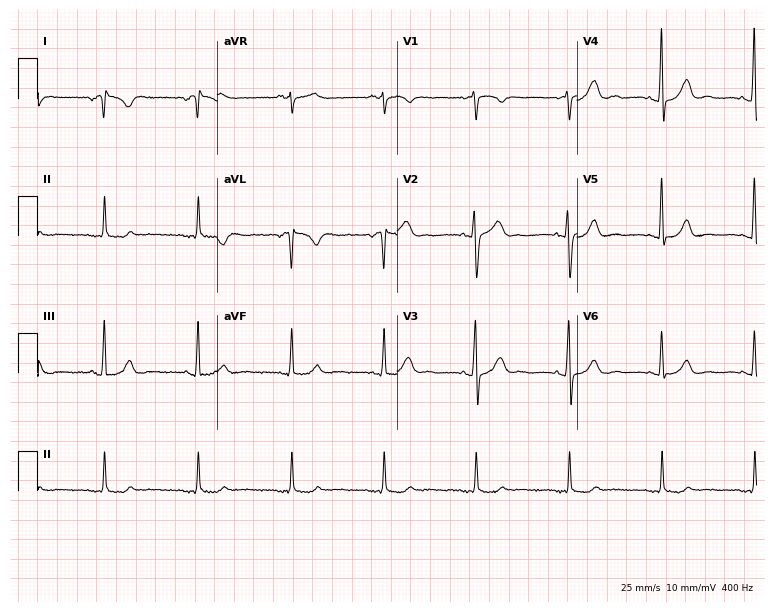
12-lead ECG (7.3-second recording at 400 Hz) from a female, 34 years old. Screened for six findings — first-degree AV block, right bundle branch block, left bundle branch block, sinus bradycardia, atrial fibrillation, sinus tachycardia — none is recorded.